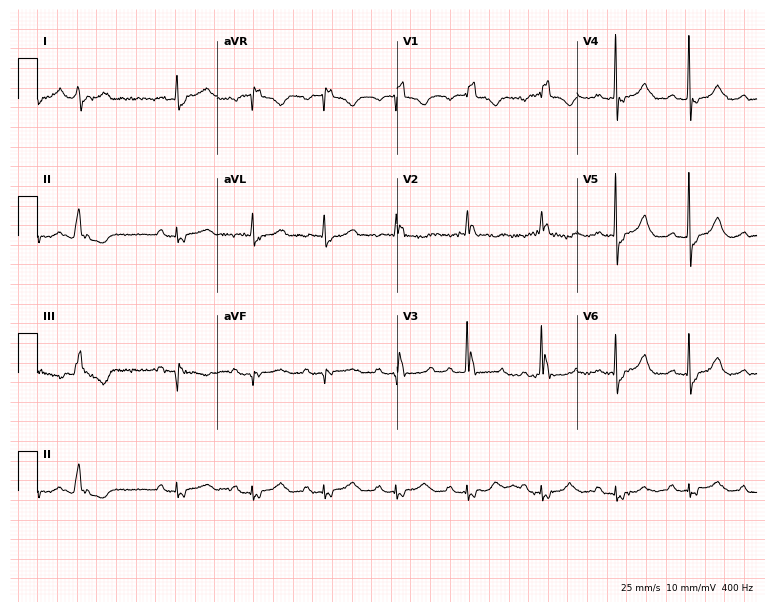
Standard 12-lead ECG recorded from a 73-year-old woman. The tracing shows right bundle branch block.